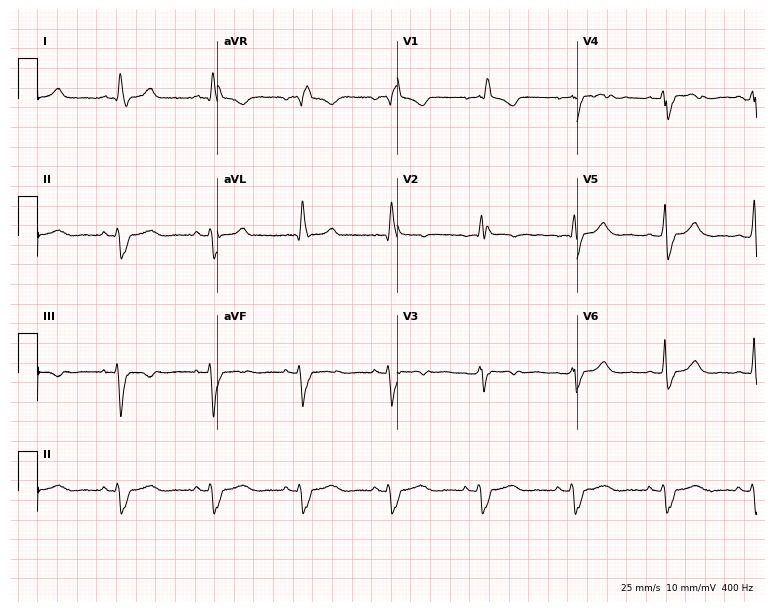
ECG (7.3-second recording at 400 Hz) — a 49-year-old female patient. Findings include right bundle branch block (RBBB).